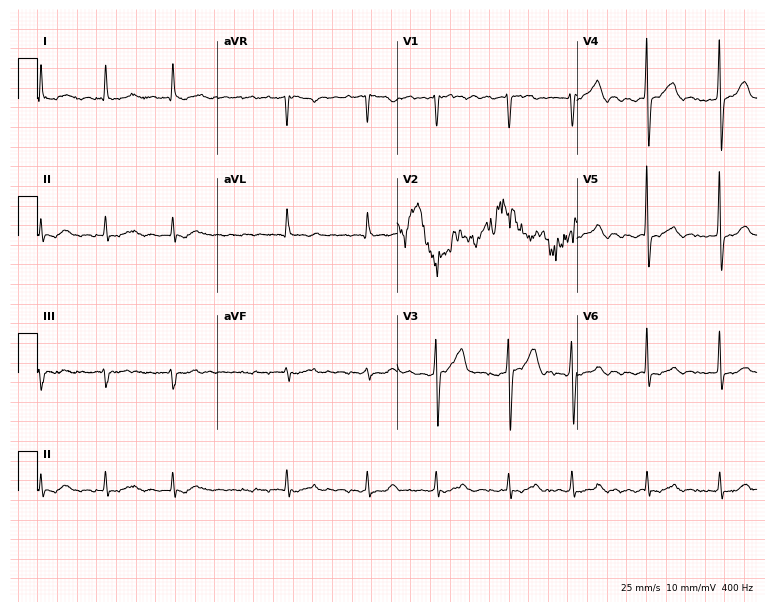
Electrocardiogram, a male patient, 85 years old. Of the six screened findings (first-degree AV block, right bundle branch block, left bundle branch block, sinus bradycardia, atrial fibrillation, sinus tachycardia), none is recorded.